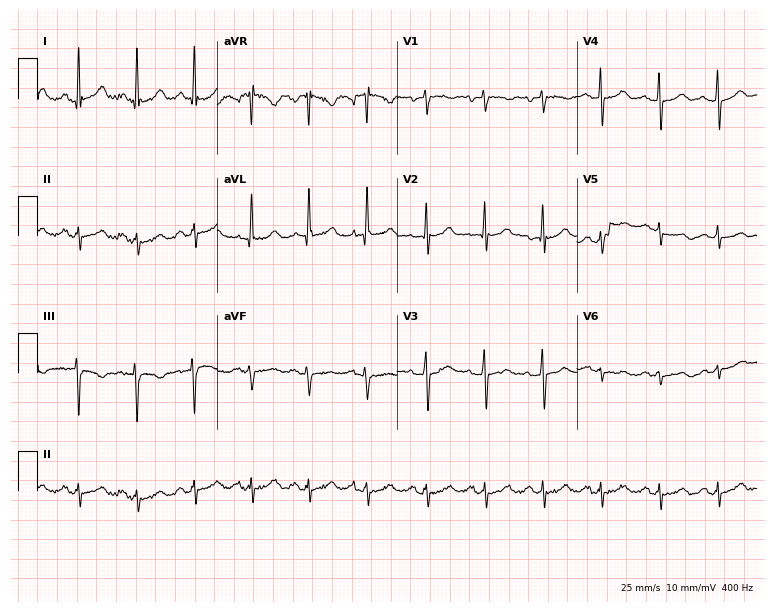
Resting 12-lead electrocardiogram. Patient: a woman, 65 years old. None of these six findings is recorded: first-degree AV block, right bundle branch block (RBBB), left bundle branch block (LBBB), sinus bradycardia, atrial fibrillation (AF), sinus tachycardia. Findings outside these six are not listed.